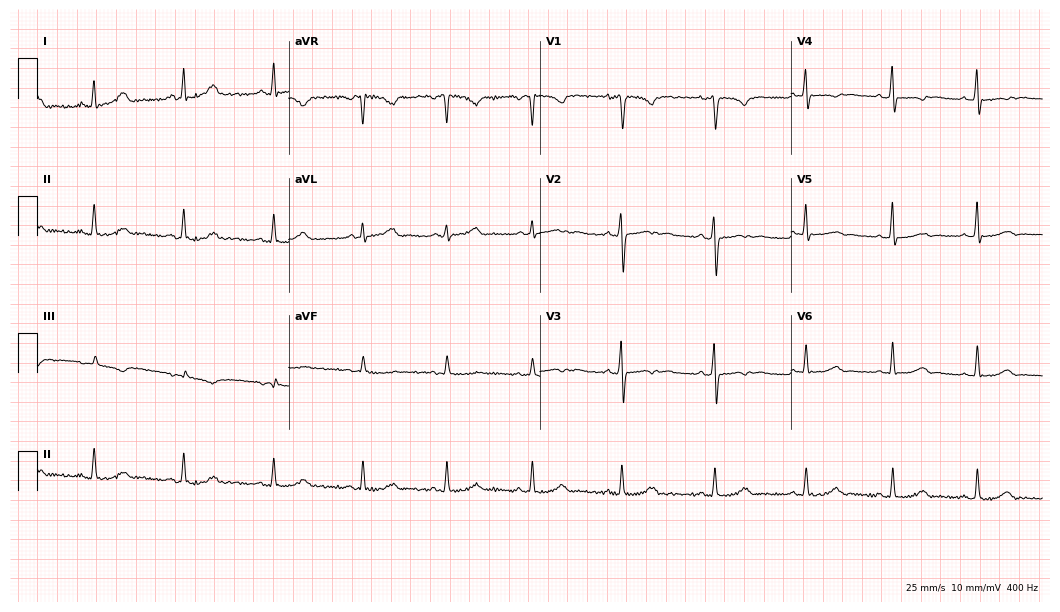
12-lead ECG (10.2-second recording at 400 Hz) from a woman, 36 years old. Screened for six findings — first-degree AV block, right bundle branch block, left bundle branch block, sinus bradycardia, atrial fibrillation, sinus tachycardia — none is recorded.